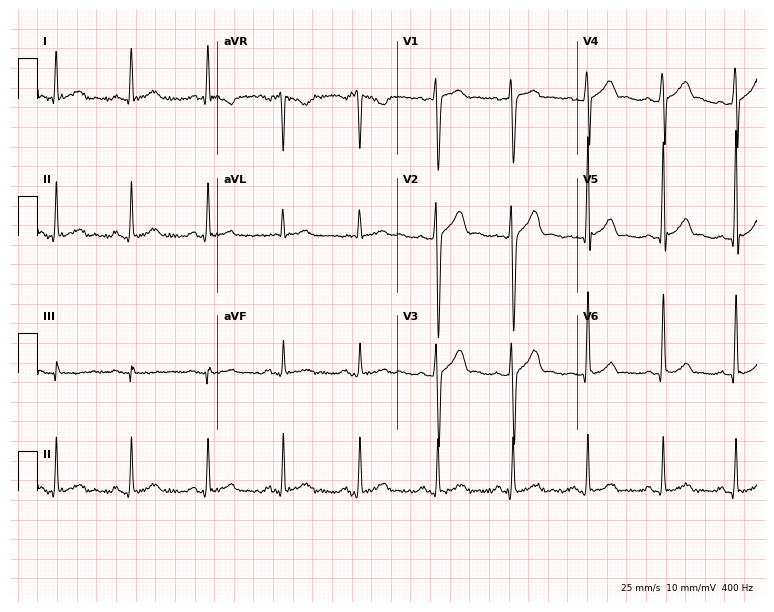
12-lead ECG (7.3-second recording at 400 Hz) from a 37-year-old male. Labelled as a normal ECG.